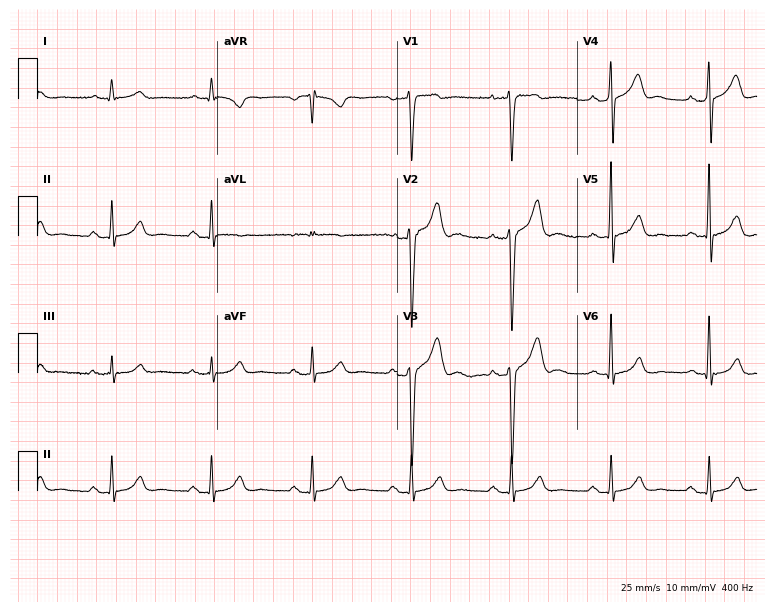
Resting 12-lead electrocardiogram (7.3-second recording at 400 Hz). Patient: a 41-year-old male. Read as a normal ECG.